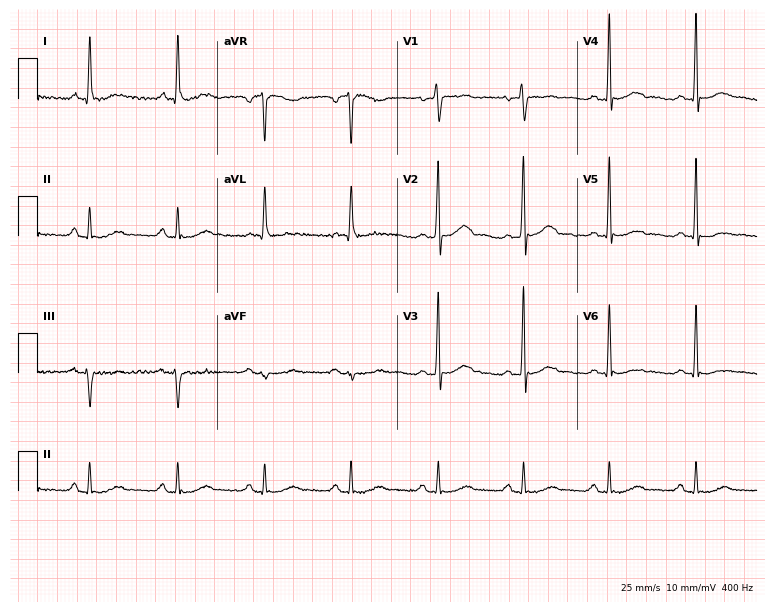
Resting 12-lead electrocardiogram. Patient: a 52-year-old man. None of these six findings is recorded: first-degree AV block, right bundle branch block (RBBB), left bundle branch block (LBBB), sinus bradycardia, atrial fibrillation (AF), sinus tachycardia. Findings outside these six are not listed.